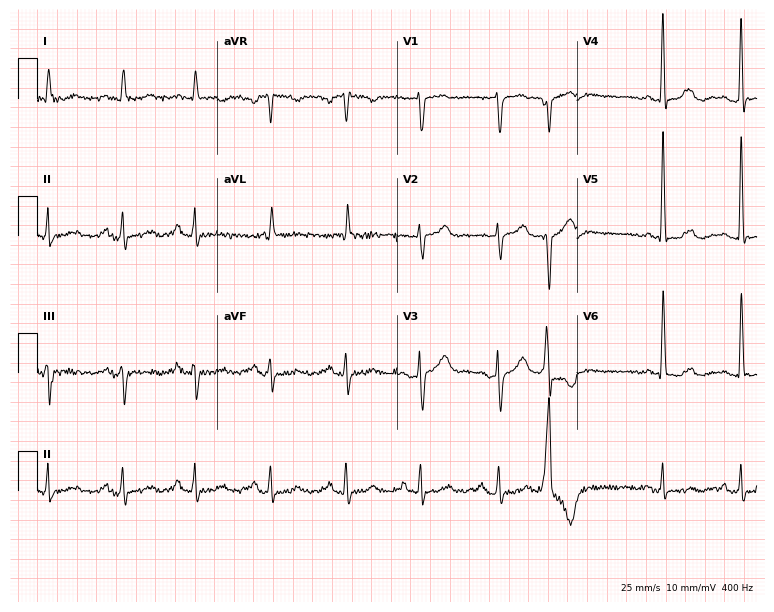
12-lead ECG from a female patient, 68 years old. No first-degree AV block, right bundle branch block, left bundle branch block, sinus bradycardia, atrial fibrillation or sinus tachycardia recorded for this tracing.